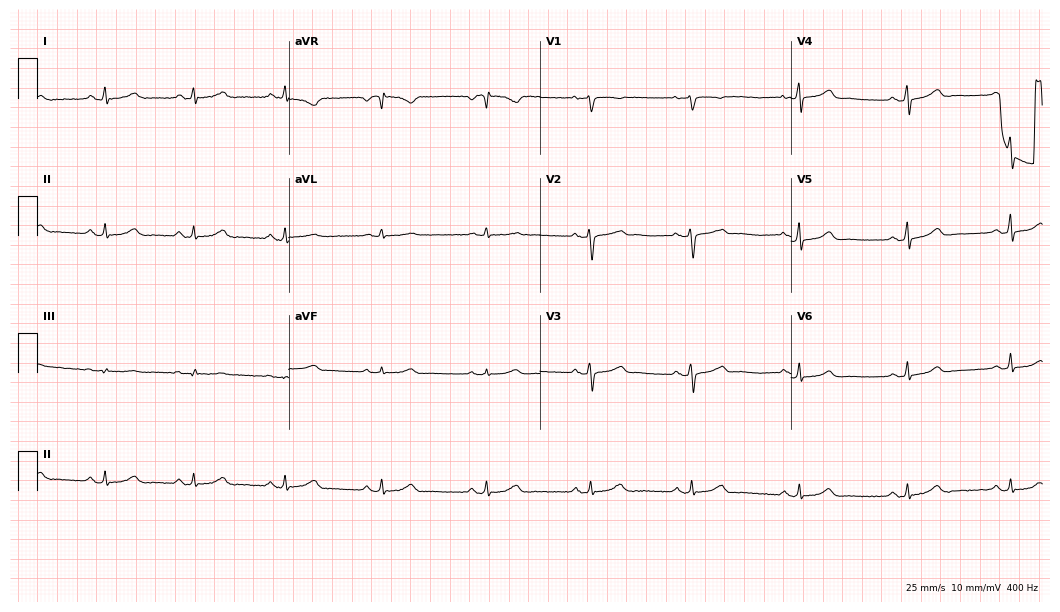
12-lead ECG from a 43-year-old female. Recorded interpretation: within normal limits.